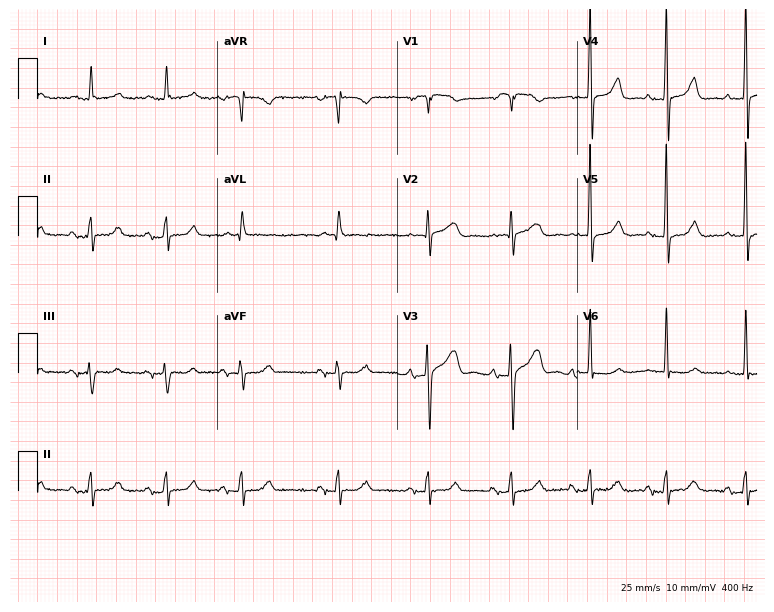
Electrocardiogram (7.3-second recording at 400 Hz), a woman, 80 years old. Overall reading on record: normal ECG.